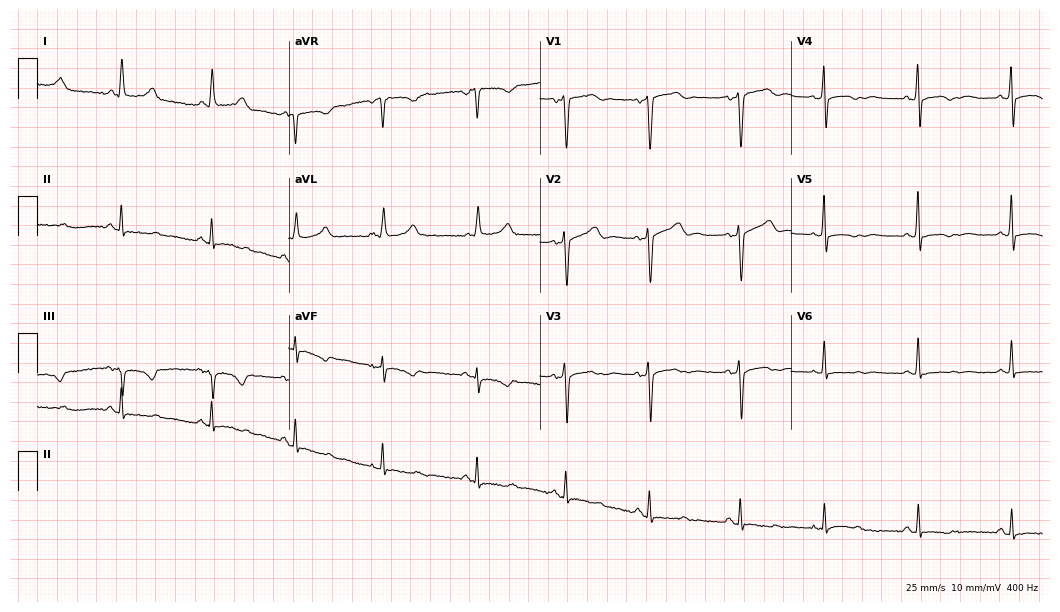
Standard 12-lead ECG recorded from a 55-year-old female (10.2-second recording at 400 Hz). Read as a normal ECG.